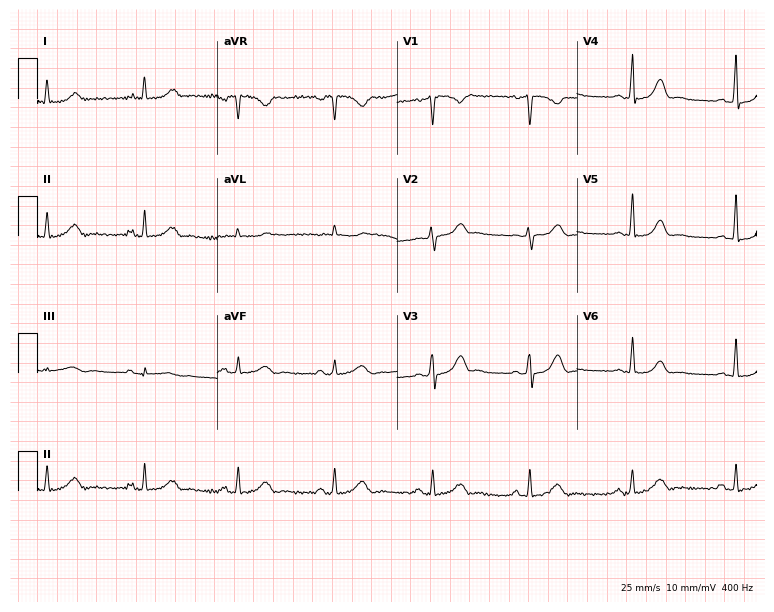
Resting 12-lead electrocardiogram. Patient: a 45-year-old female. None of these six findings is recorded: first-degree AV block, right bundle branch block, left bundle branch block, sinus bradycardia, atrial fibrillation, sinus tachycardia.